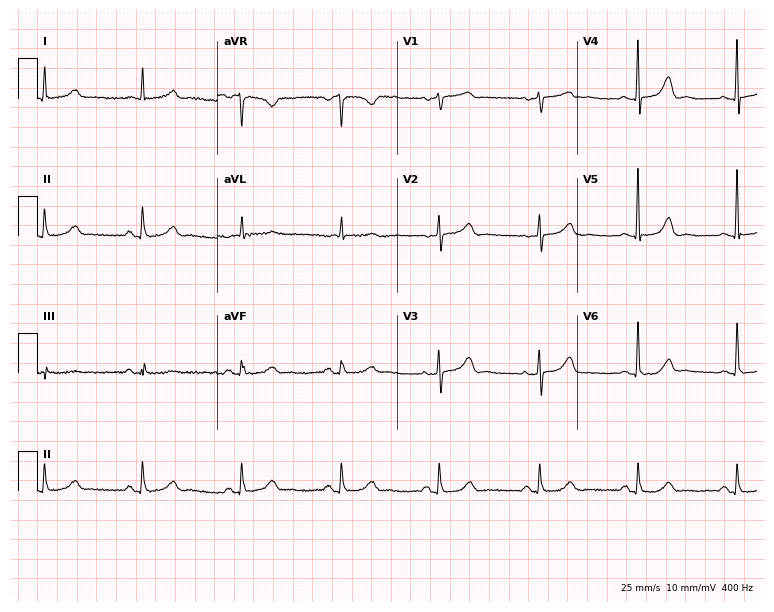
Resting 12-lead electrocardiogram (7.3-second recording at 400 Hz). Patient: a female, 81 years old. None of these six findings is recorded: first-degree AV block, right bundle branch block, left bundle branch block, sinus bradycardia, atrial fibrillation, sinus tachycardia. Other findings, if any, are not listed.